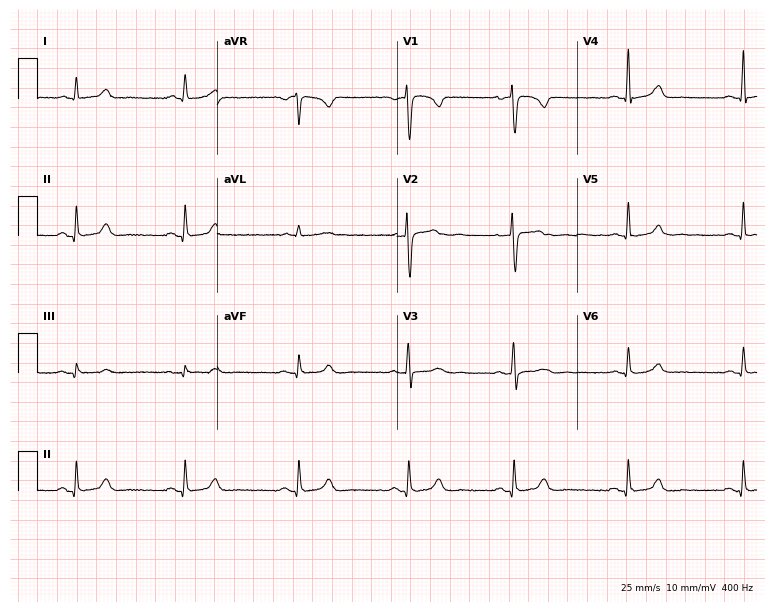
12-lead ECG from a woman, 40 years old. Recorded interpretation: within normal limits.